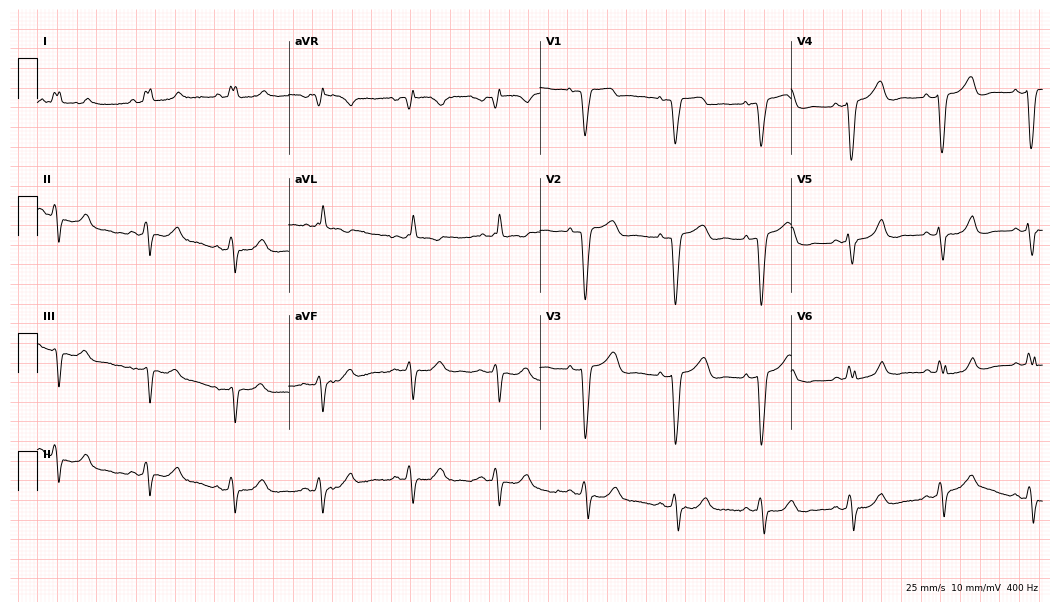
ECG — an 82-year-old female patient. Findings include left bundle branch block.